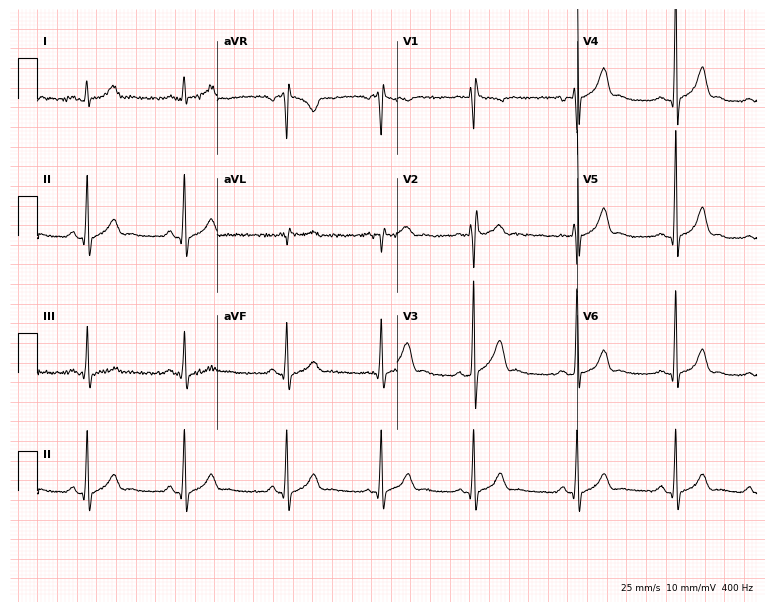
Standard 12-lead ECG recorded from a 25-year-old male patient. None of these six findings is recorded: first-degree AV block, right bundle branch block, left bundle branch block, sinus bradycardia, atrial fibrillation, sinus tachycardia.